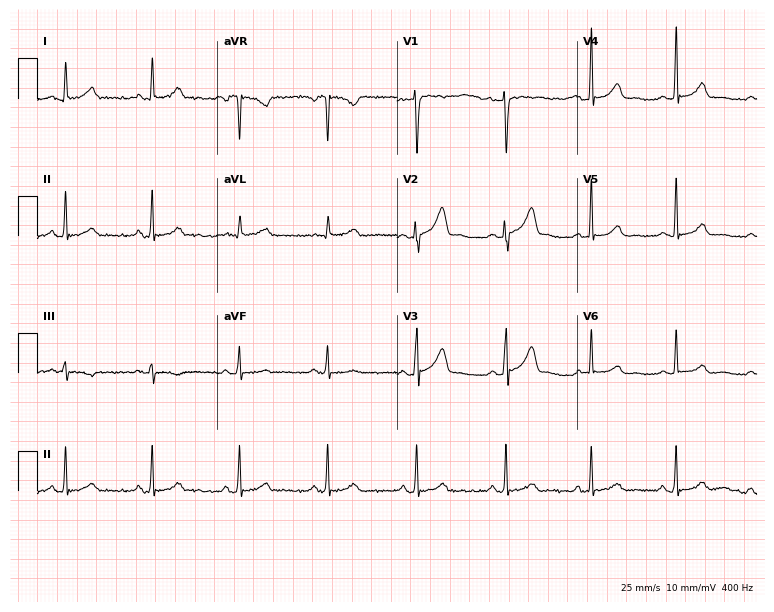
Standard 12-lead ECG recorded from a 24-year-old woman (7.3-second recording at 400 Hz). Read as a normal ECG.